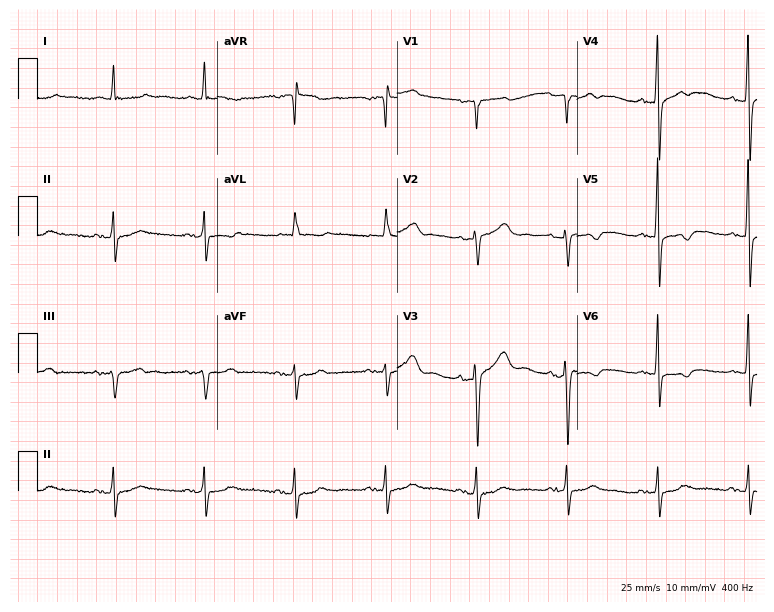
12-lead ECG (7.3-second recording at 400 Hz) from an 83-year-old female. Screened for six findings — first-degree AV block, right bundle branch block (RBBB), left bundle branch block (LBBB), sinus bradycardia, atrial fibrillation (AF), sinus tachycardia — none is recorded. Only these six findings were labelled.